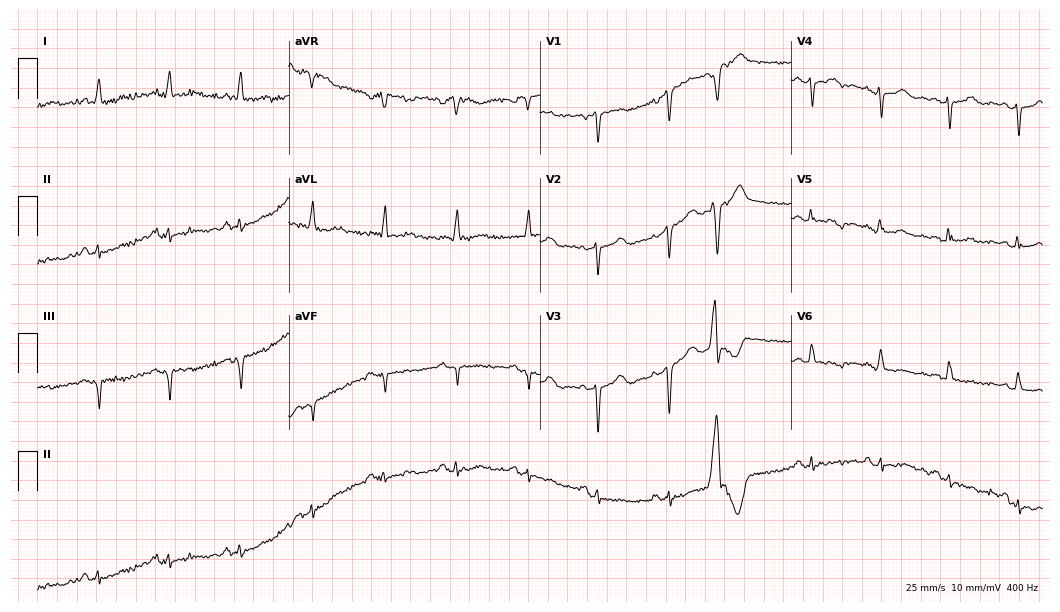
Standard 12-lead ECG recorded from a female, 70 years old (10.2-second recording at 400 Hz). None of these six findings is recorded: first-degree AV block, right bundle branch block, left bundle branch block, sinus bradycardia, atrial fibrillation, sinus tachycardia.